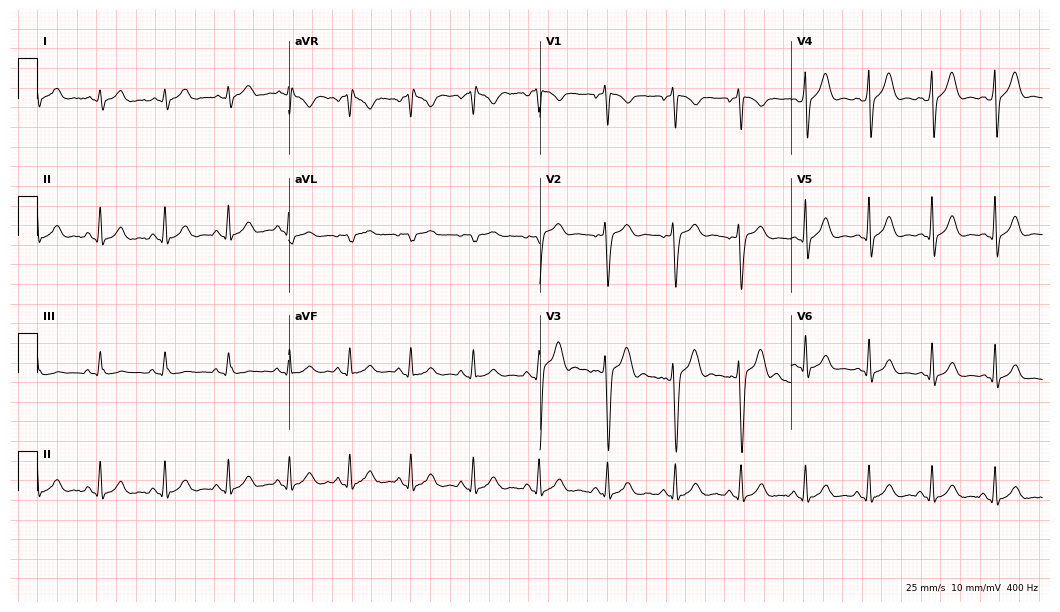
12-lead ECG from a 25-year-old male patient. No first-degree AV block, right bundle branch block, left bundle branch block, sinus bradycardia, atrial fibrillation or sinus tachycardia recorded for this tracing. Findings outside these six are not listed.